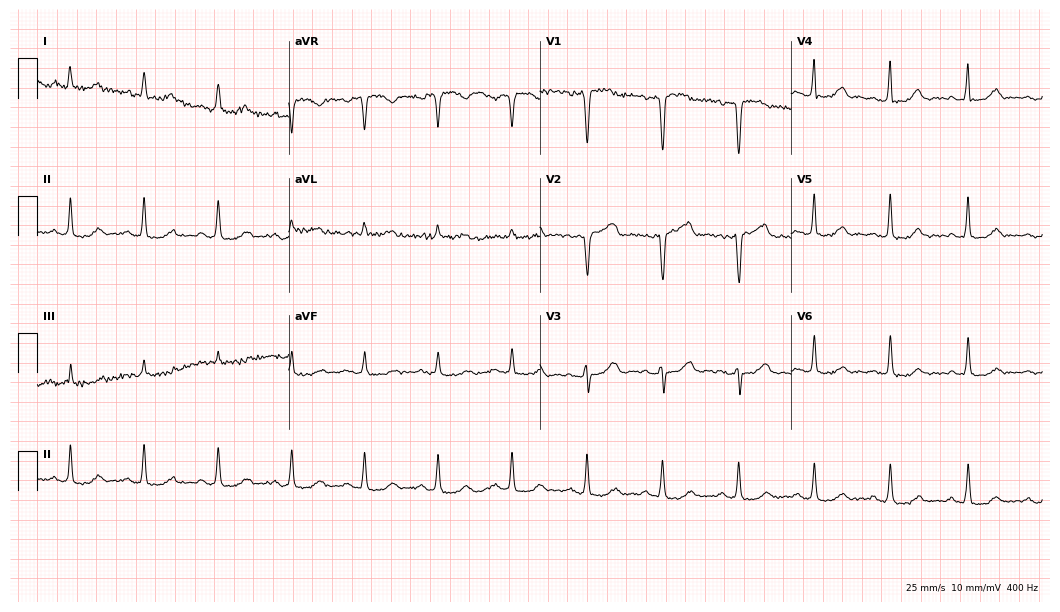
Standard 12-lead ECG recorded from a woman, 52 years old (10.2-second recording at 400 Hz). Read as a normal ECG.